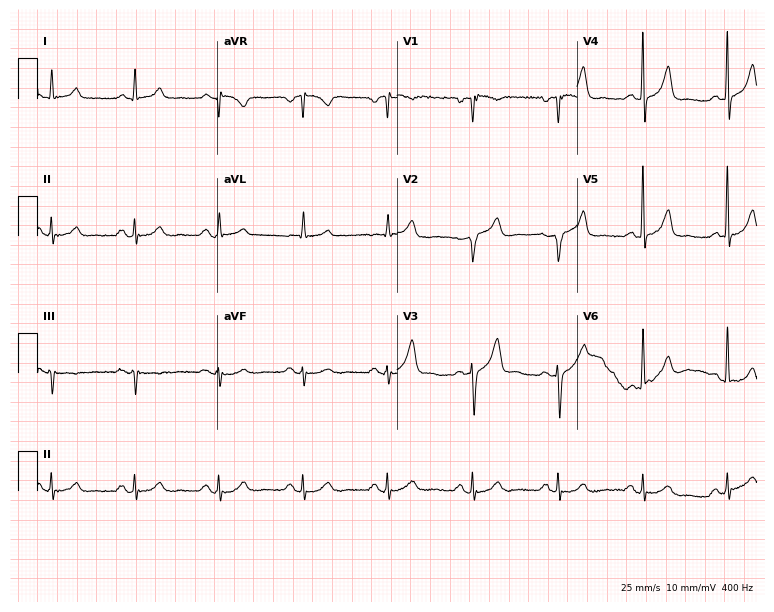
Electrocardiogram, a male, 77 years old. Of the six screened findings (first-degree AV block, right bundle branch block, left bundle branch block, sinus bradycardia, atrial fibrillation, sinus tachycardia), none is recorded.